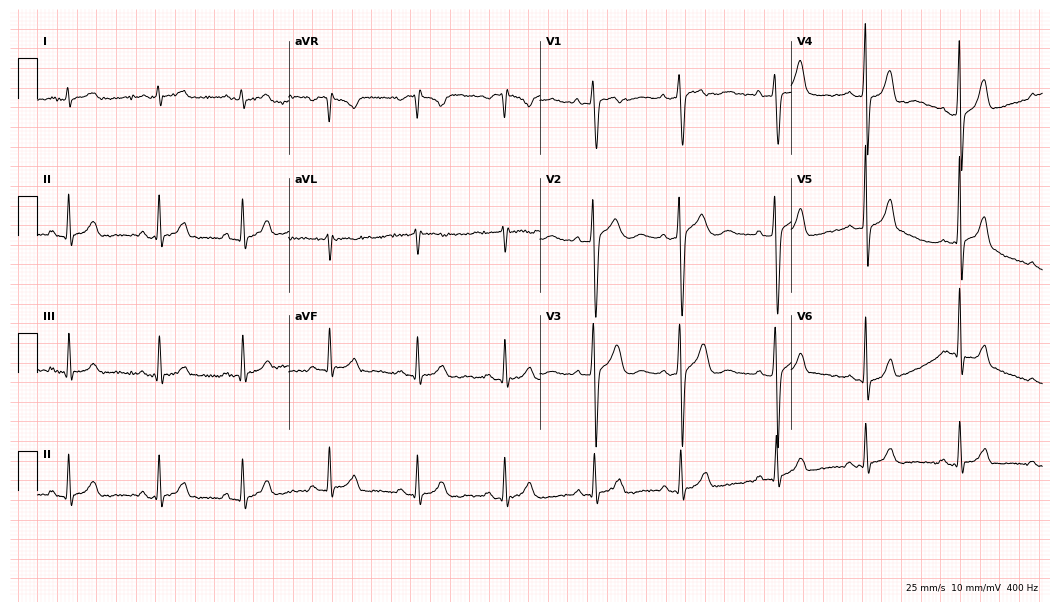
ECG (10.2-second recording at 400 Hz) — a male patient, 28 years old. Screened for six findings — first-degree AV block, right bundle branch block (RBBB), left bundle branch block (LBBB), sinus bradycardia, atrial fibrillation (AF), sinus tachycardia — none is recorded.